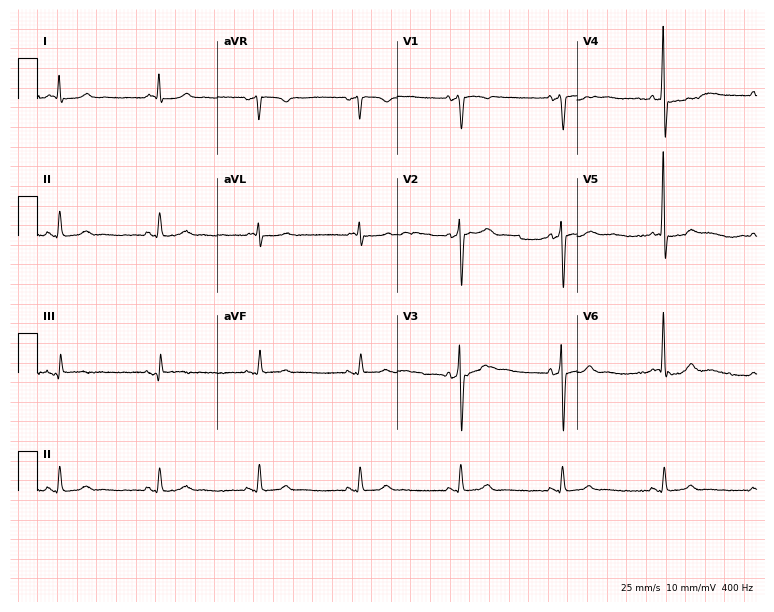
12-lead ECG from a 79-year-old man. No first-degree AV block, right bundle branch block, left bundle branch block, sinus bradycardia, atrial fibrillation or sinus tachycardia recorded for this tracing.